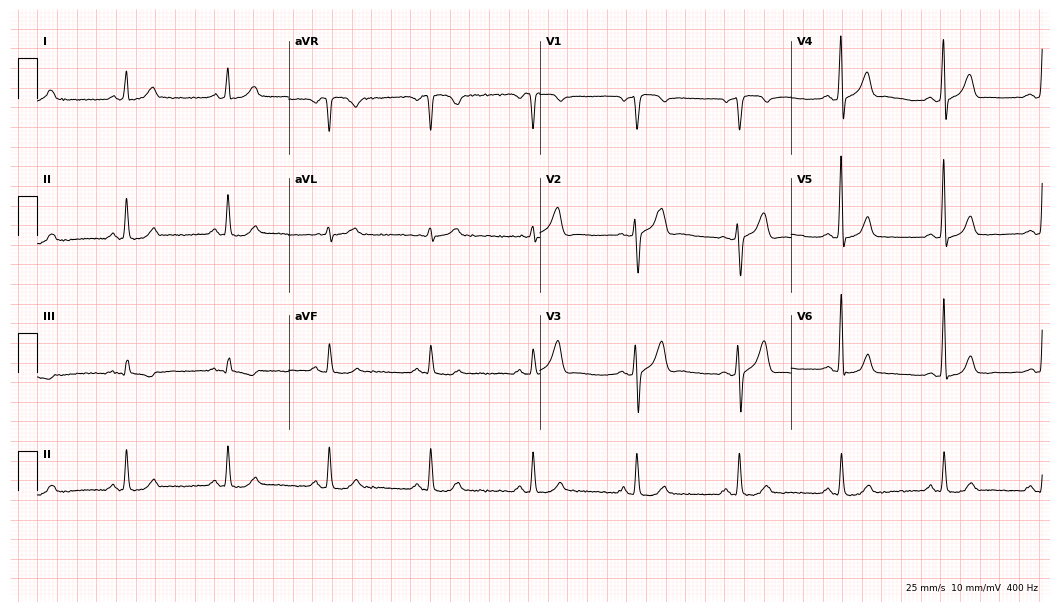
Standard 12-lead ECG recorded from a male patient, 61 years old (10.2-second recording at 400 Hz). Read as a normal ECG.